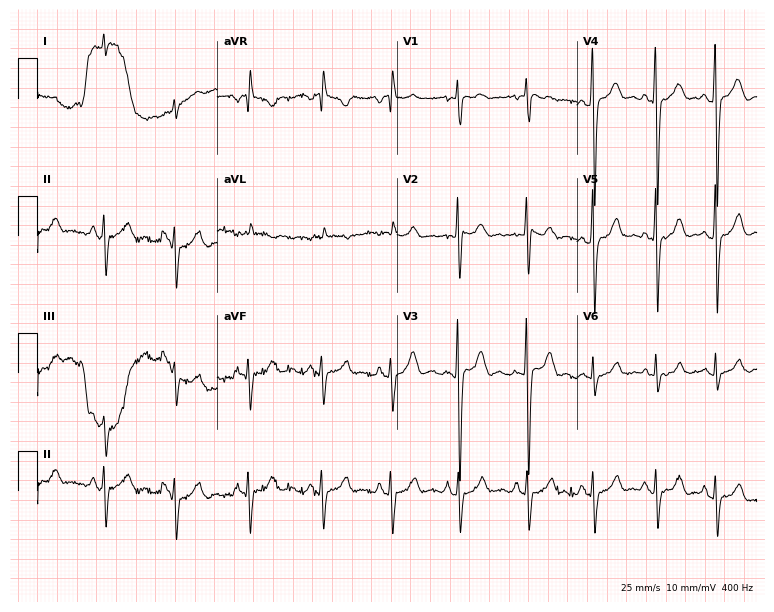
Standard 12-lead ECG recorded from a man, 22 years old (7.3-second recording at 400 Hz). None of these six findings is recorded: first-degree AV block, right bundle branch block, left bundle branch block, sinus bradycardia, atrial fibrillation, sinus tachycardia.